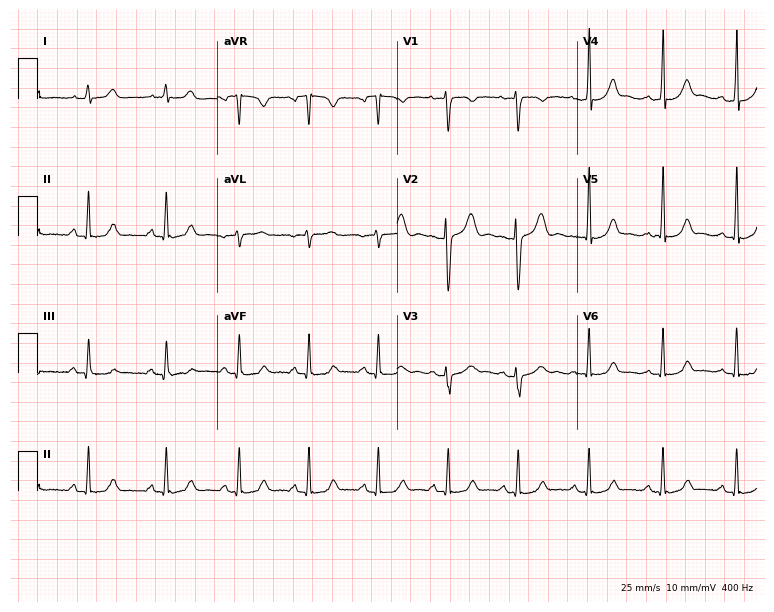
Standard 12-lead ECG recorded from a female, 32 years old. Read as a normal ECG.